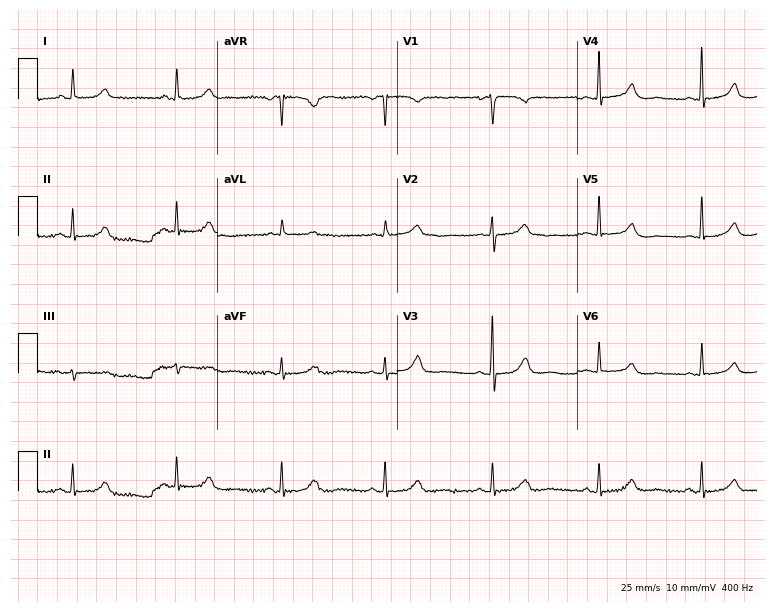
Standard 12-lead ECG recorded from a female, 61 years old. Read as a normal ECG.